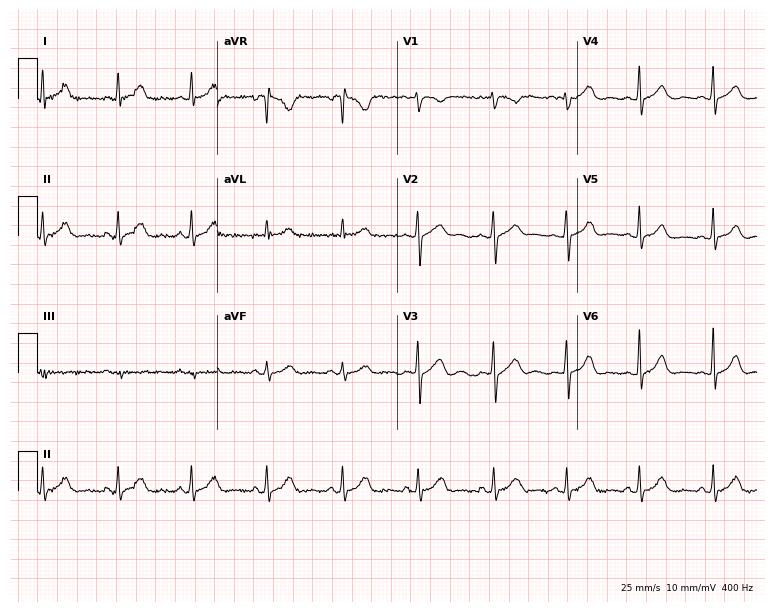
12-lead ECG from a female patient, 37 years old. Labelled as a normal ECG.